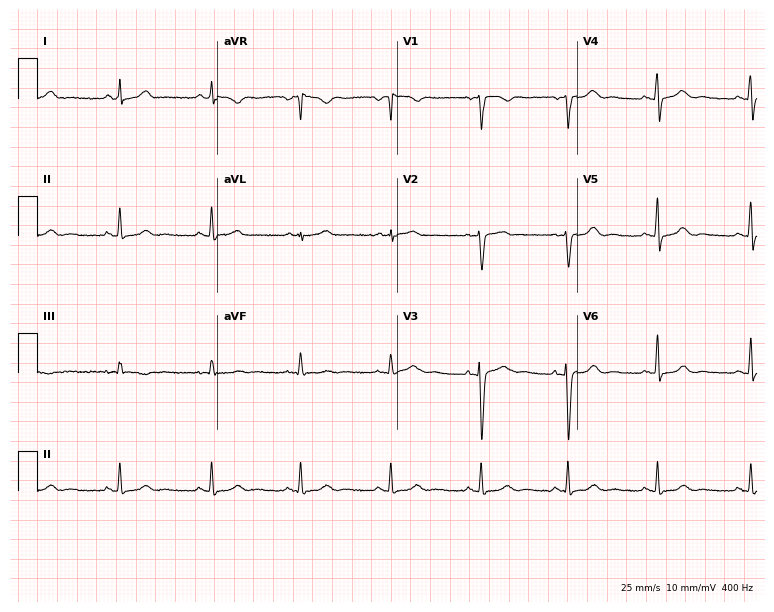
ECG — a woman, 36 years old. Labelled as a normal ECG.